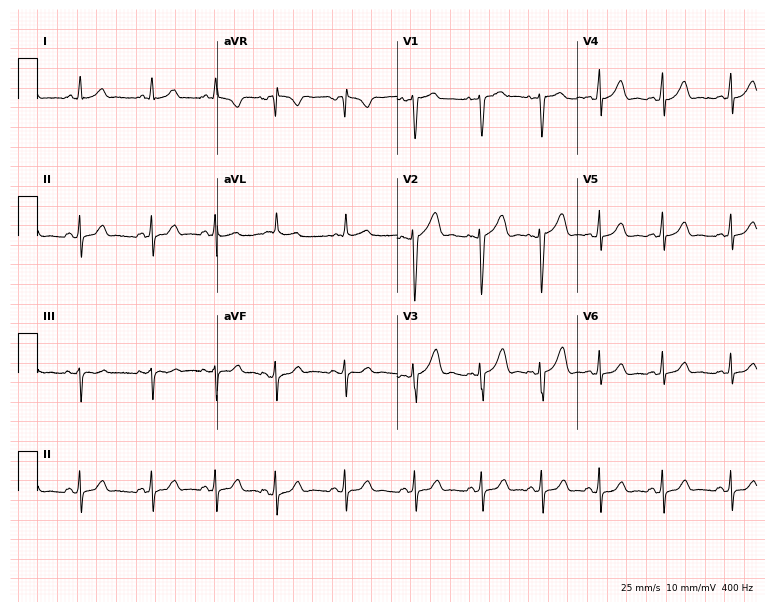
Resting 12-lead electrocardiogram. Patient: a woman, 28 years old. Read as a normal ECG.